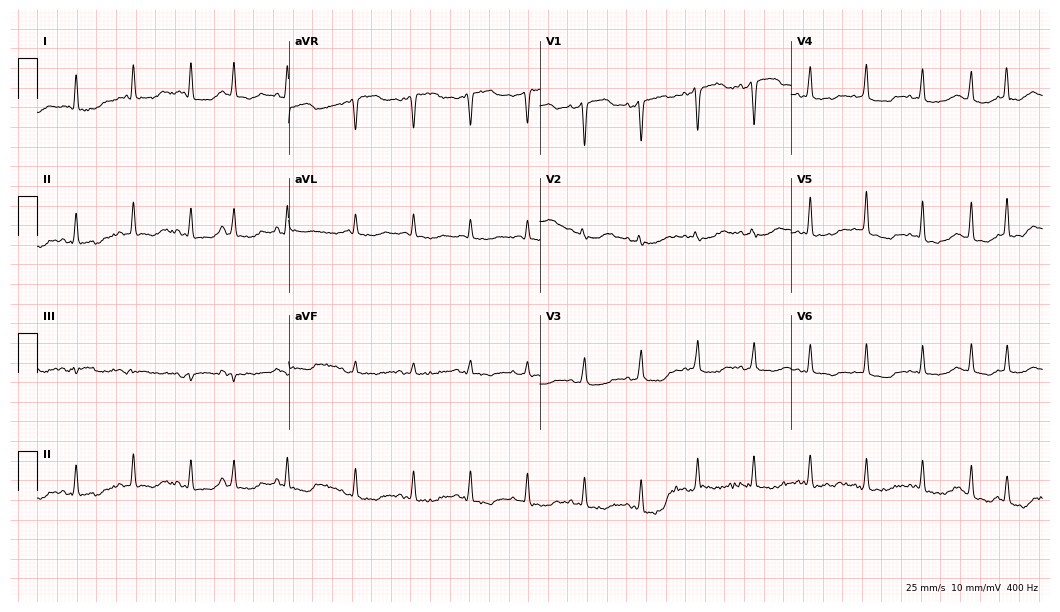
Electrocardiogram (10.2-second recording at 400 Hz), a 71-year-old female patient. Of the six screened findings (first-degree AV block, right bundle branch block, left bundle branch block, sinus bradycardia, atrial fibrillation, sinus tachycardia), none is recorded. Other findings, if any, are not listed.